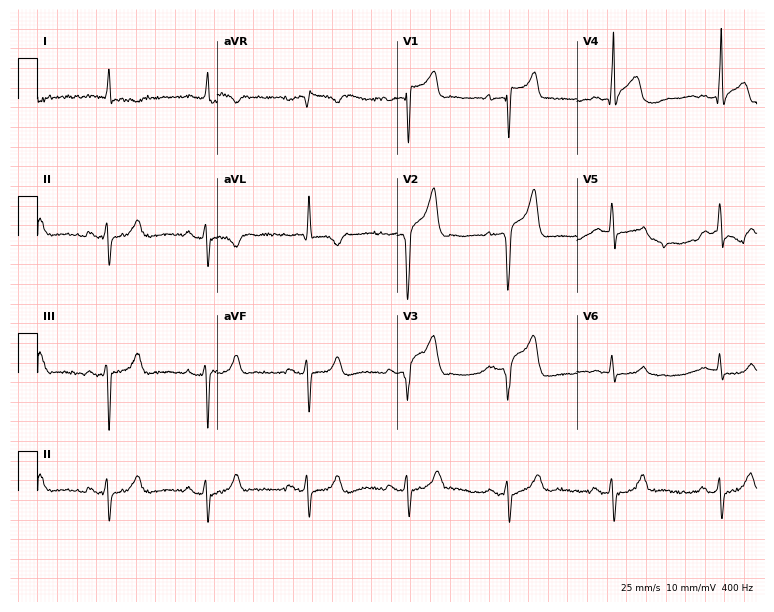
12-lead ECG from a male, 82 years old. No first-degree AV block, right bundle branch block, left bundle branch block, sinus bradycardia, atrial fibrillation or sinus tachycardia recorded for this tracing.